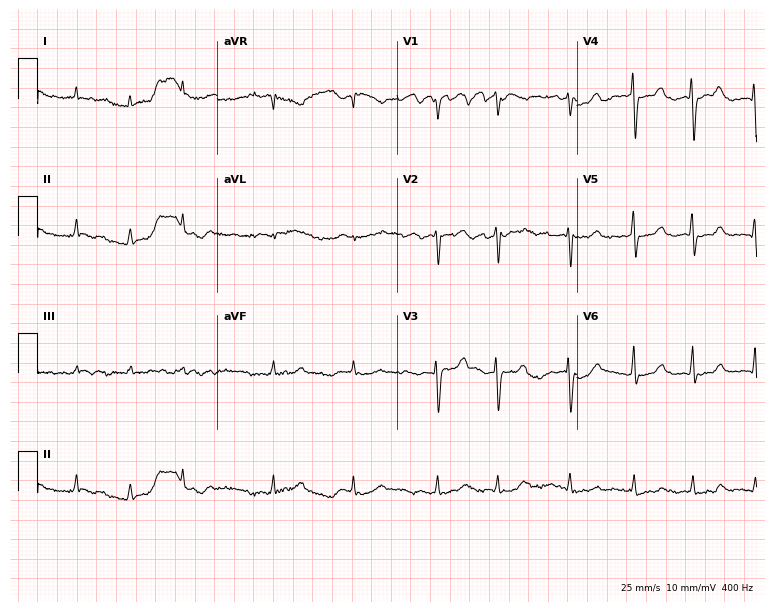
12-lead ECG (7.3-second recording at 400 Hz) from an 82-year-old woman. Findings include atrial fibrillation.